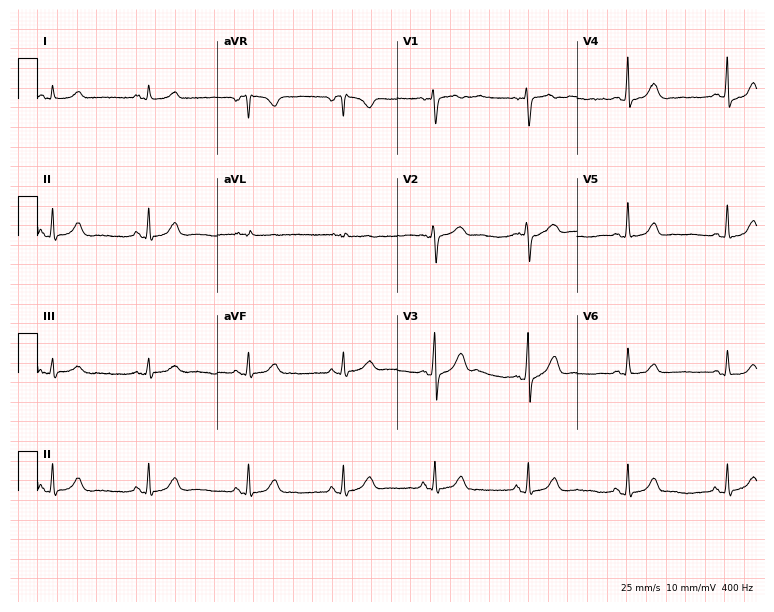
ECG (7.3-second recording at 400 Hz) — a woman, 35 years old. Labelled as a normal ECG.